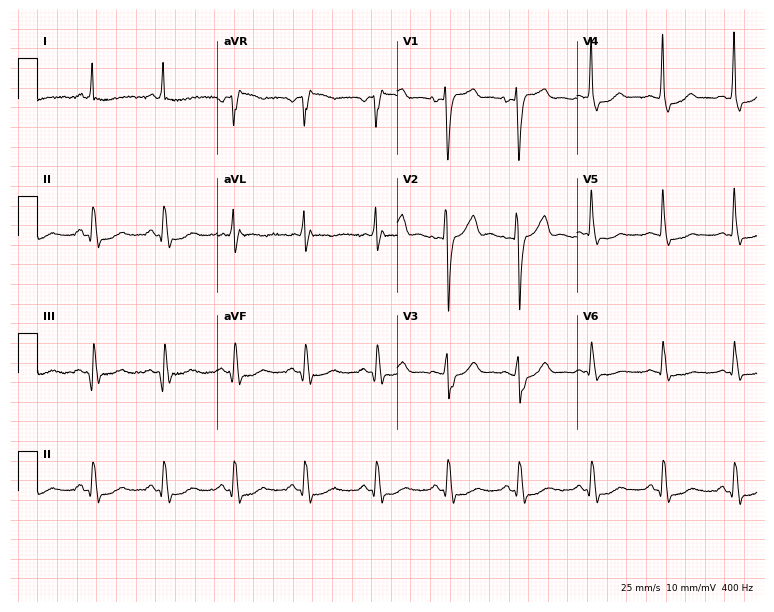
Electrocardiogram (7.3-second recording at 400 Hz), a 64-year-old woman. Of the six screened findings (first-degree AV block, right bundle branch block, left bundle branch block, sinus bradycardia, atrial fibrillation, sinus tachycardia), none is recorded. Other findings, if any, are not listed.